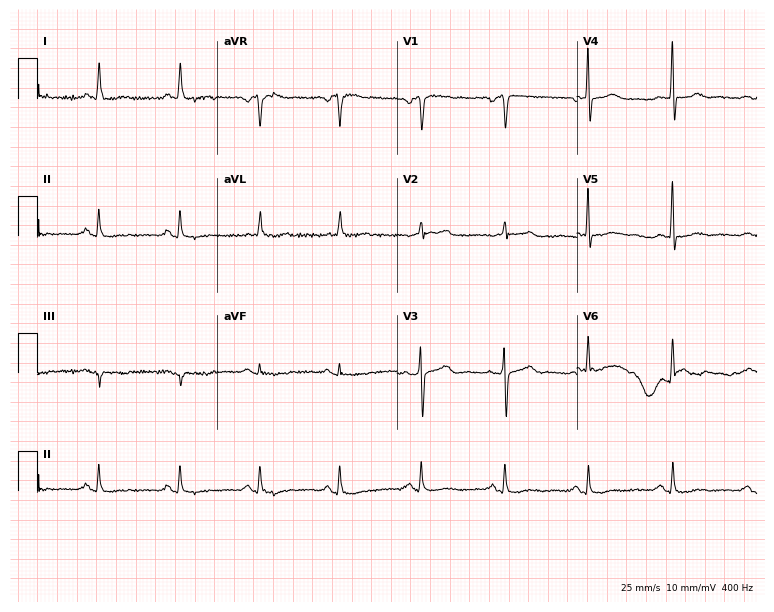
ECG — a 69-year-old man. Screened for six findings — first-degree AV block, right bundle branch block, left bundle branch block, sinus bradycardia, atrial fibrillation, sinus tachycardia — none is recorded.